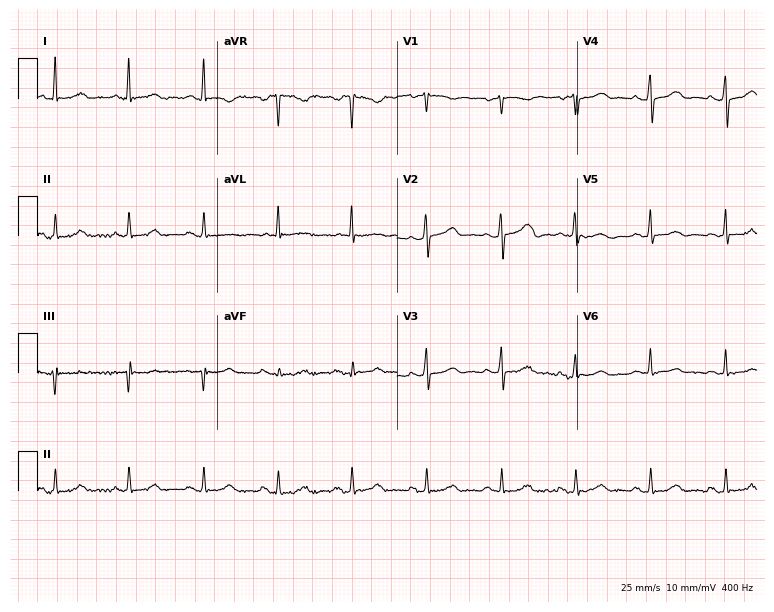
Standard 12-lead ECG recorded from a woman, 77 years old (7.3-second recording at 400 Hz). Read as a normal ECG.